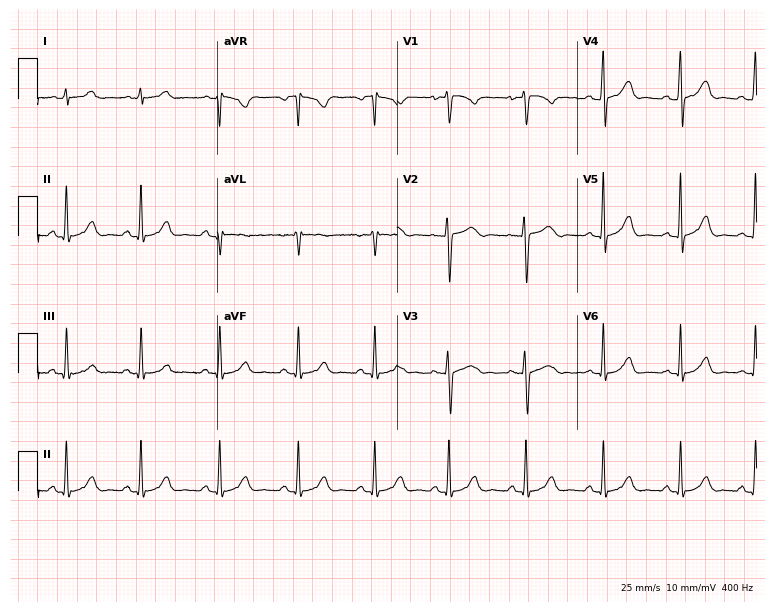
12-lead ECG from a 24-year-old female patient (7.3-second recording at 400 Hz). Recorded interpretation: within normal limits.